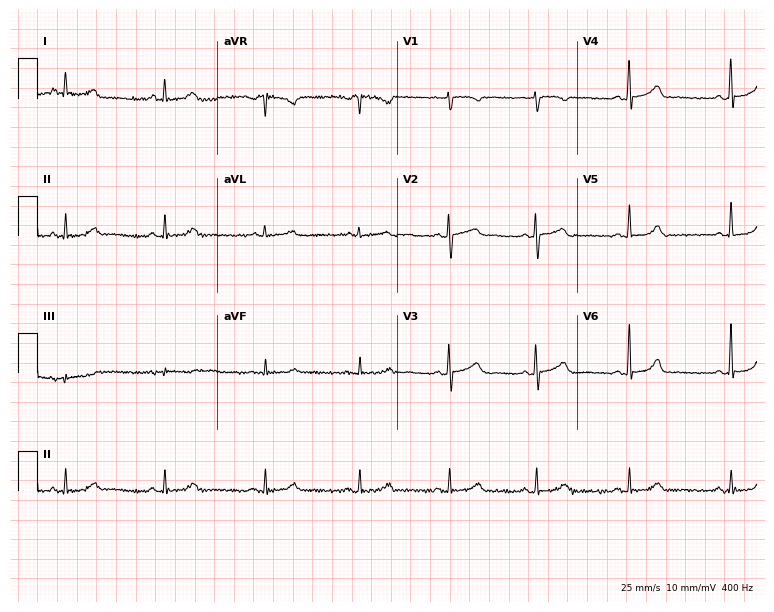
Resting 12-lead electrocardiogram. Patient: a 46-year-old female. Read as a normal ECG.